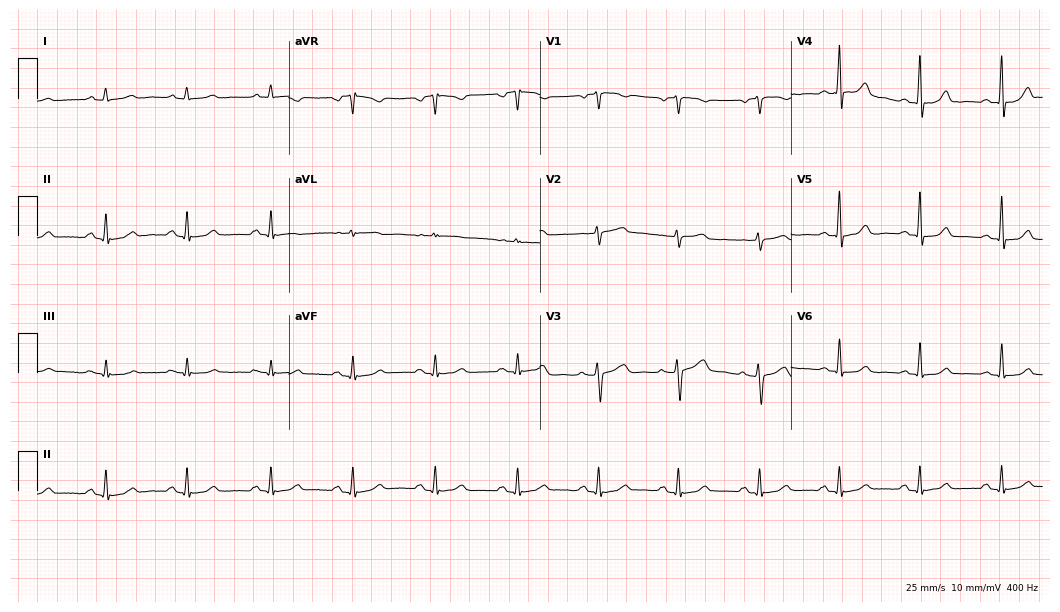
Electrocardiogram (10.2-second recording at 400 Hz), a female patient, 59 years old. Overall reading on record: normal ECG.